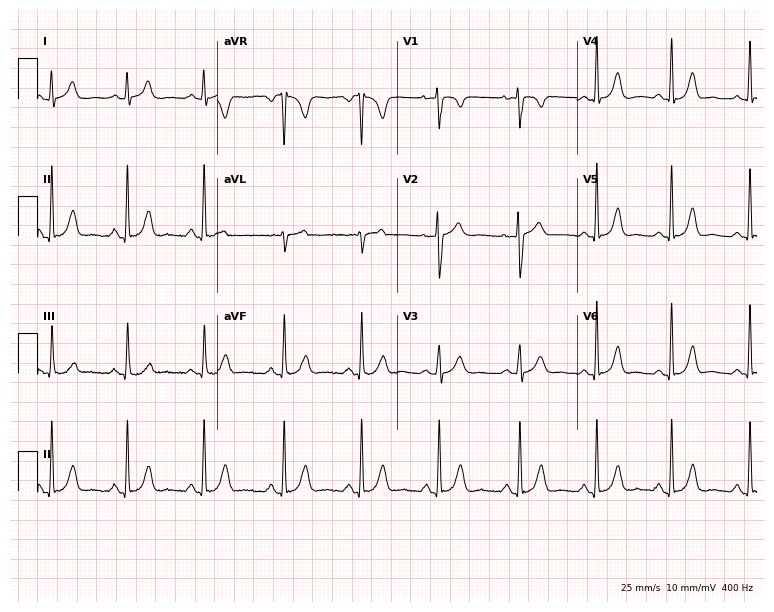
12-lead ECG from a 34-year-old female patient. Screened for six findings — first-degree AV block, right bundle branch block, left bundle branch block, sinus bradycardia, atrial fibrillation, sinus tachycardia — none is recorded.